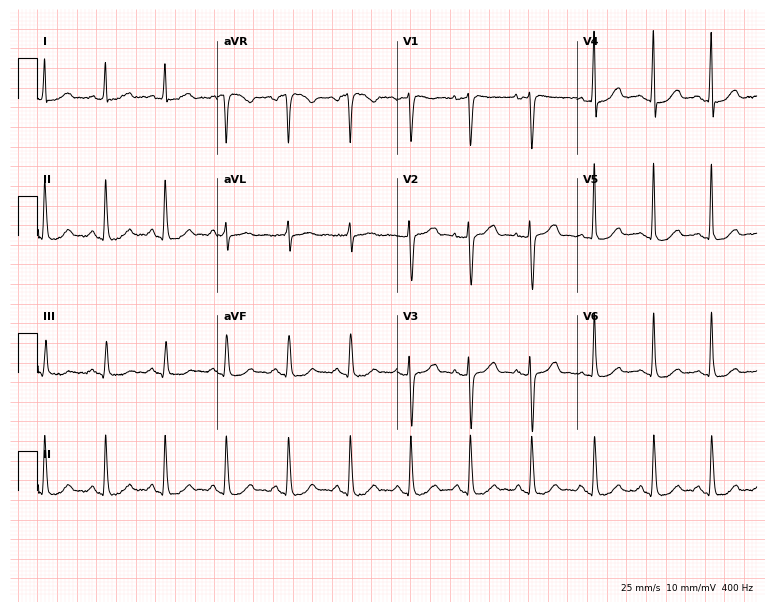
ECG — a female, 35 years old. Screened for six findings — first-degree AV block, right bundle branch block (RBBB), left bundle branch block (LBBB), sinus bradycardia, atrial fibrillation (AF), sinus tachycardia — none is recorded. Only these six findings were labelled.